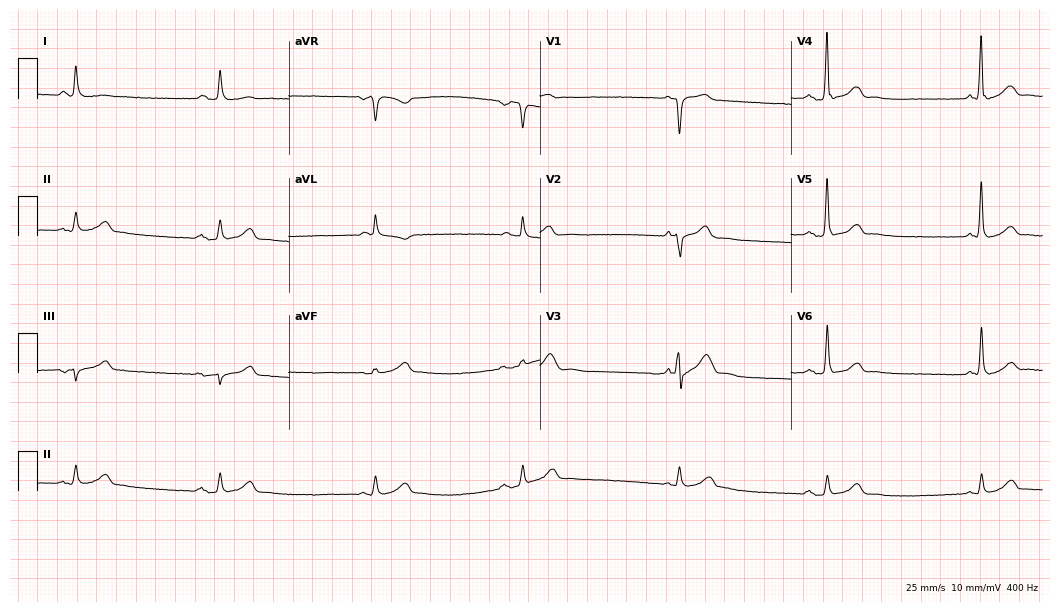
Standard 12-lead ECG recorded from a male patient, 74 years old (10.2-second recording at 400 Hz). None of these six findings is recorded: first-degree AV block, right bundle branch block, left bundle branch block, sinus bradycardia, atrial fibrillation, sinus tachycardia.